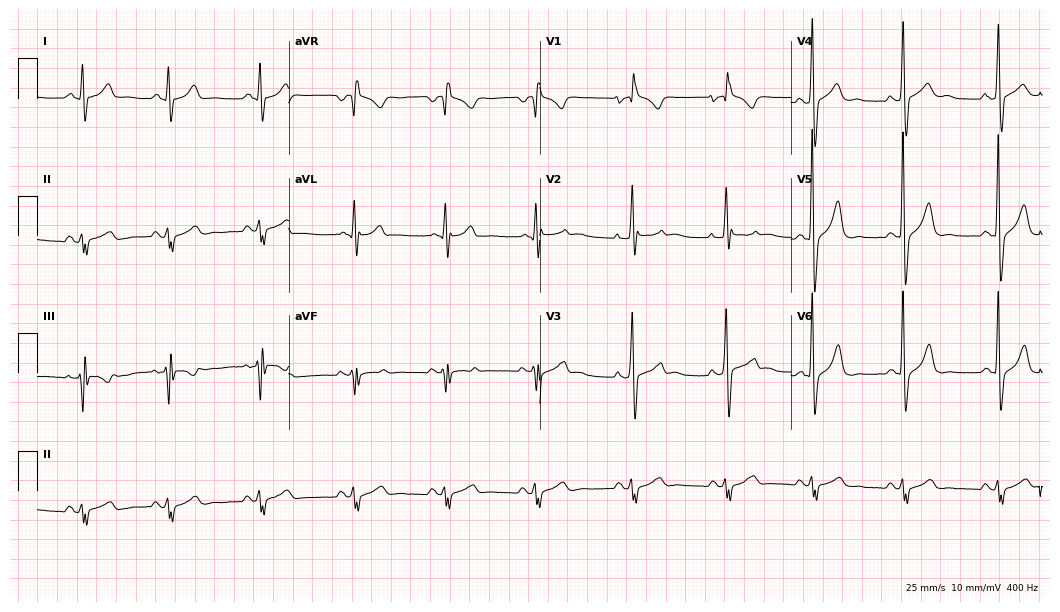
Resting 12-lead electrocardiogram (10.2-second recording at 400 Hz). Patient: a 39-year-old man. None of these six findings is recorded: first-degree AV block, right bundle branch block (RBBB), left bundle branch block (LBBB), sinus bradycardia, atrial fibrillation (AF), sinus tachycardia.